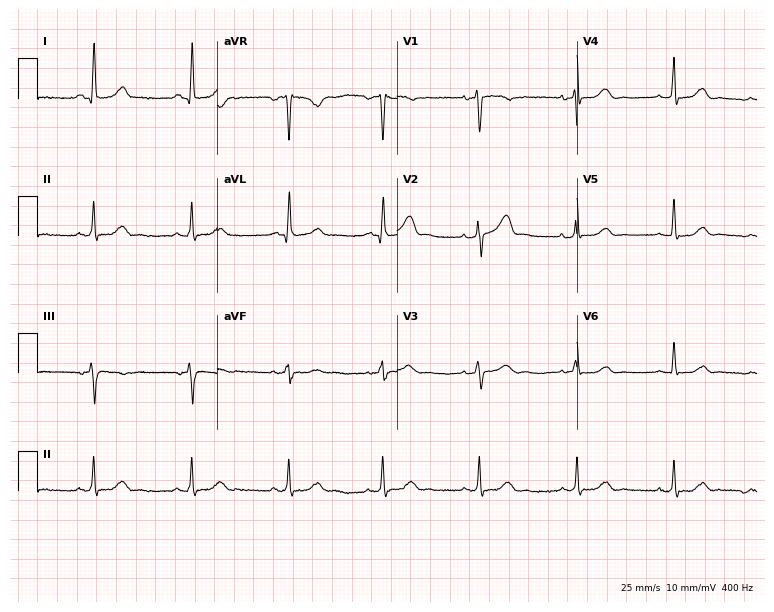
12-lead ECG from a 59-year-old woman. Labelled as a normal ECG.